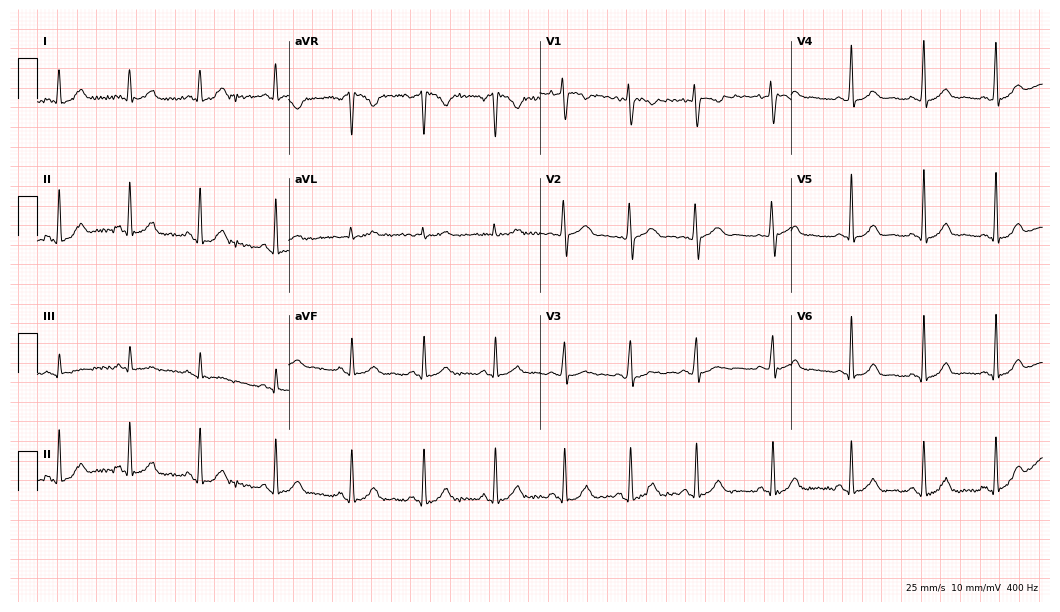
12-lead ECG from a female, 18 years old. Recorded interpretation: within normal limits.